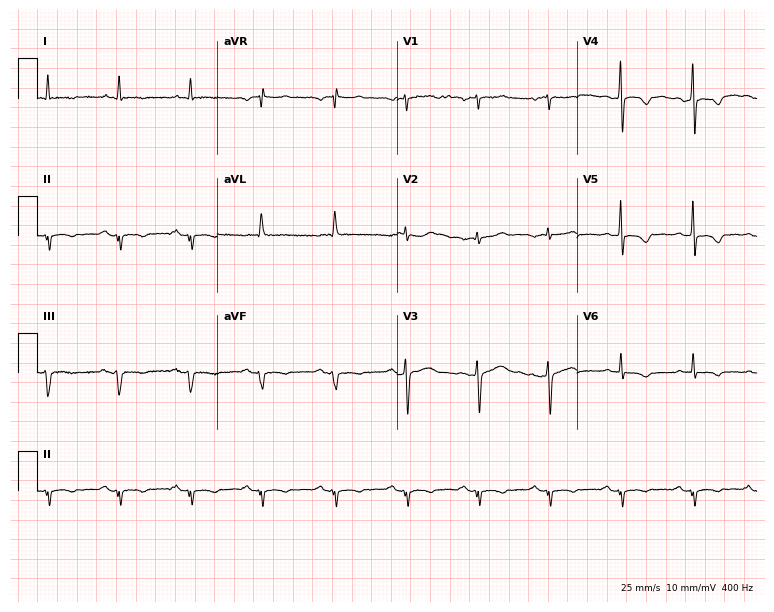
Electrocardiogram (7.3-second recording at 400 Hz), a 65-year-old man. Of the six screened findings (first-degree AV block, right bundle branch block, left bundle branch block, sinus bradycardia, atrial fibrillation, sinus tachycardia), none is recorded. Findings outside these six are not listed.